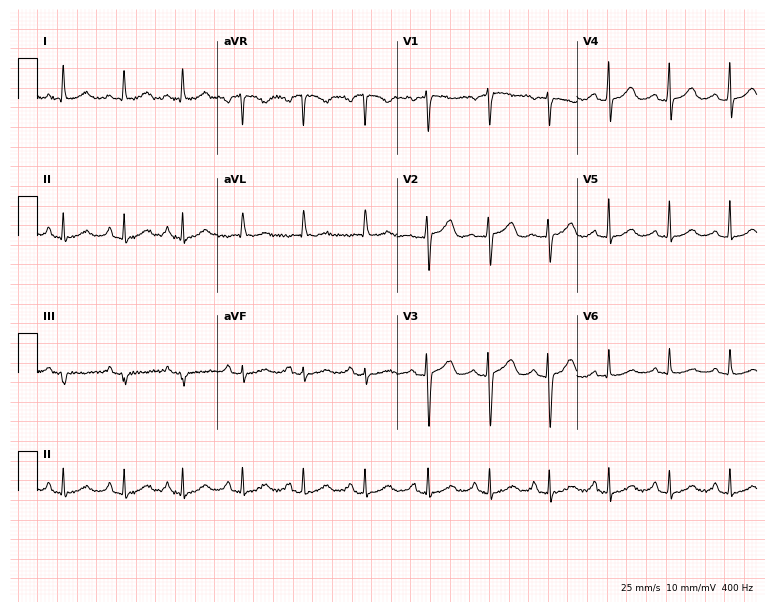
12-lead ECG from a 66-year-old female. Labelled as a normal ECG.